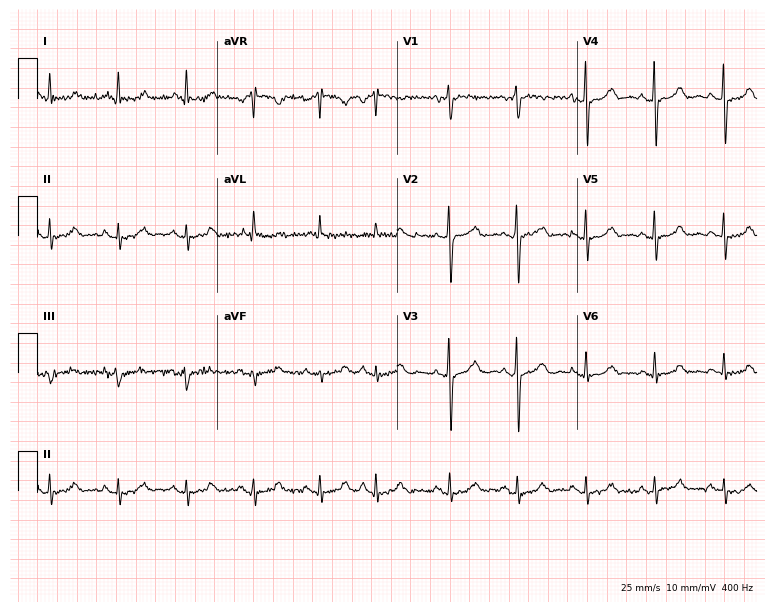
12-lead ECG (7.3-second recording at 400 Hz) from a female, 70 years old. Screened for six findings — first-degree AV block, right bundle branch block, left bundle branch block, sinus bradycardia, atrial fibrillation, sinus tachycardia — none is recorded. Other findings, if any, are not listed.